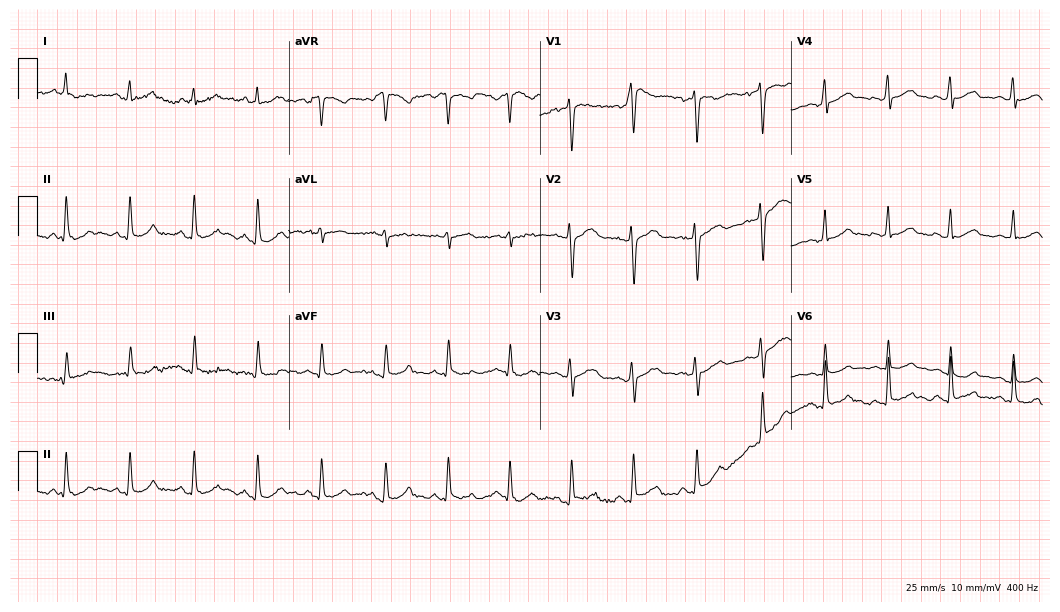
12-lead ECG from a female, 24 years old. Labelled as a normal ECG.